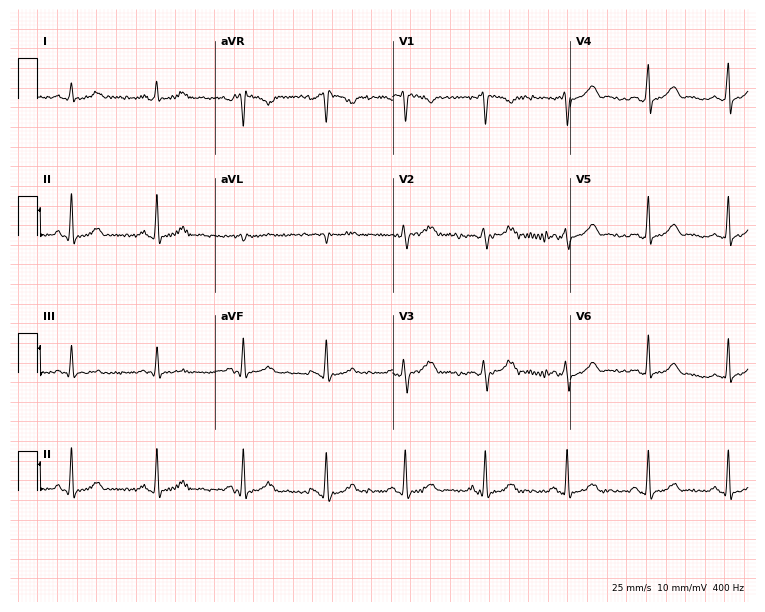
12-lead ECG from a female, 28 years old (7.2-second recording at 400 Hz). Recorded interpretation: within normal limits.